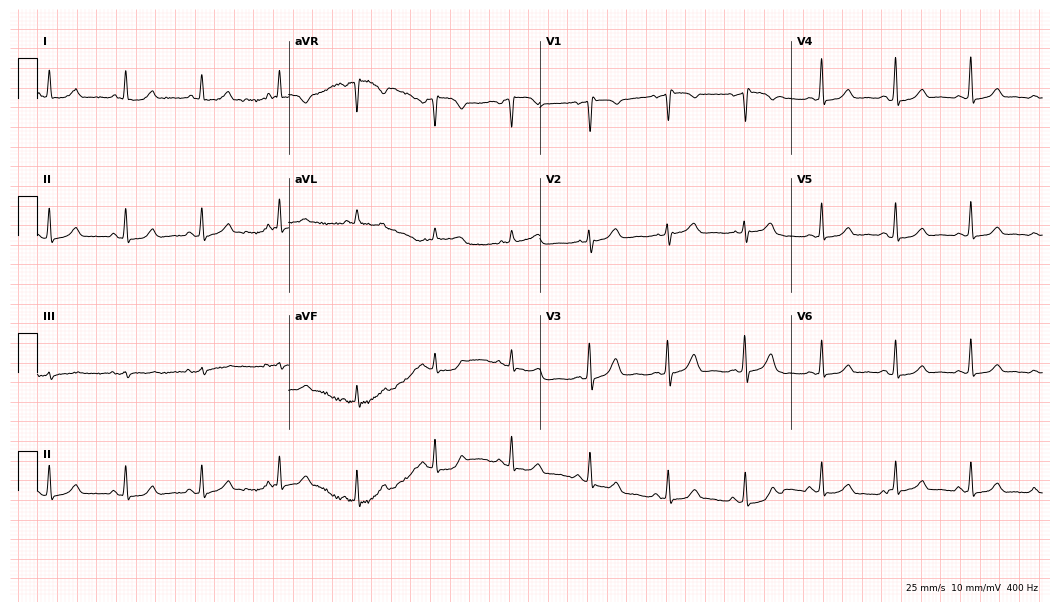
12-lead ECG (10.2-second recording at 400 Hz) from a 50-year-old woman. Labelled as a normal ECG.